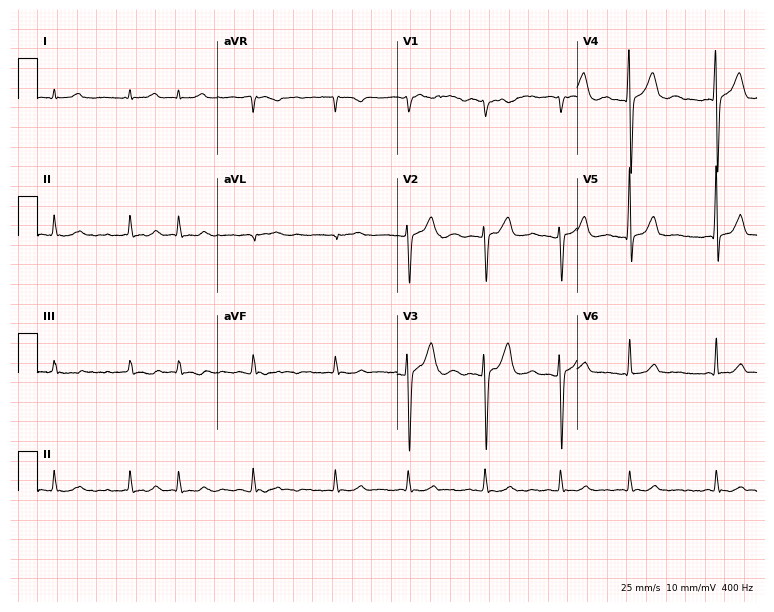
Electrocardiogram (7.3-second recording at 400 Hz), a male, 85 years old. Interpretation includes atrial fibrillation.